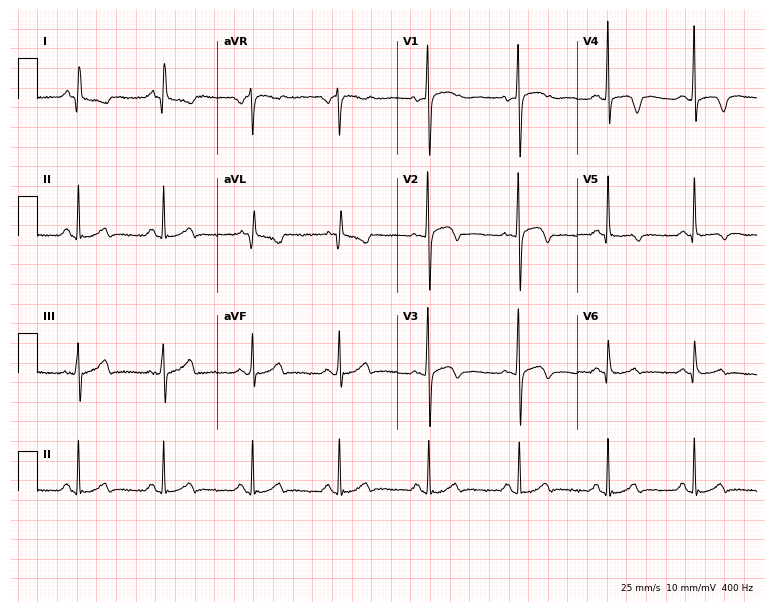
Resting 12-lead electrocardiogram. Patient: a 53-year-old woman. None of these six findings is recorded: first-degree AV block, right bundle branch block, left bundle branch block, sinus bradycardia, atrial fibrillation, sinus tachycardia.